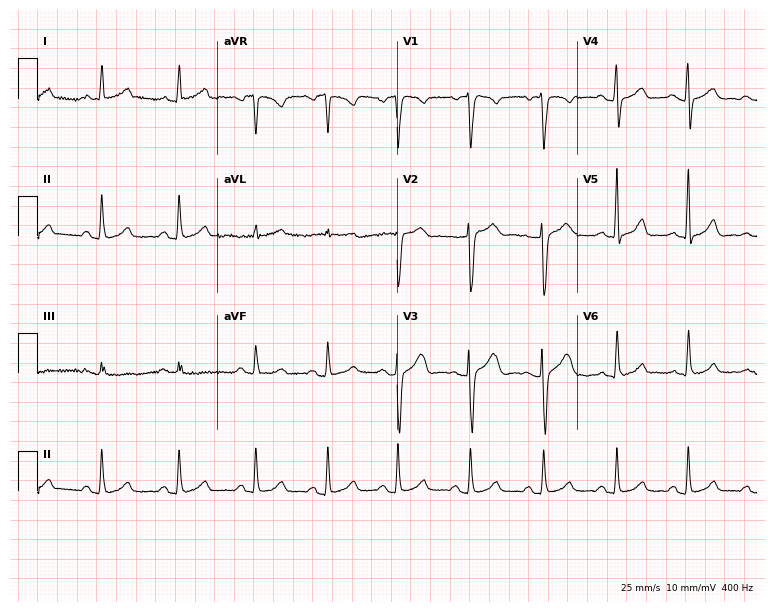
Resting 12-lead electrocardiogram. Patient: a 26-year-old woman. None of these six findings is recorded: first-degree AV block, right bundle branch block, left bundle branch block, sinus bradycardia, atrial fibrillation, sinus tachycardia.